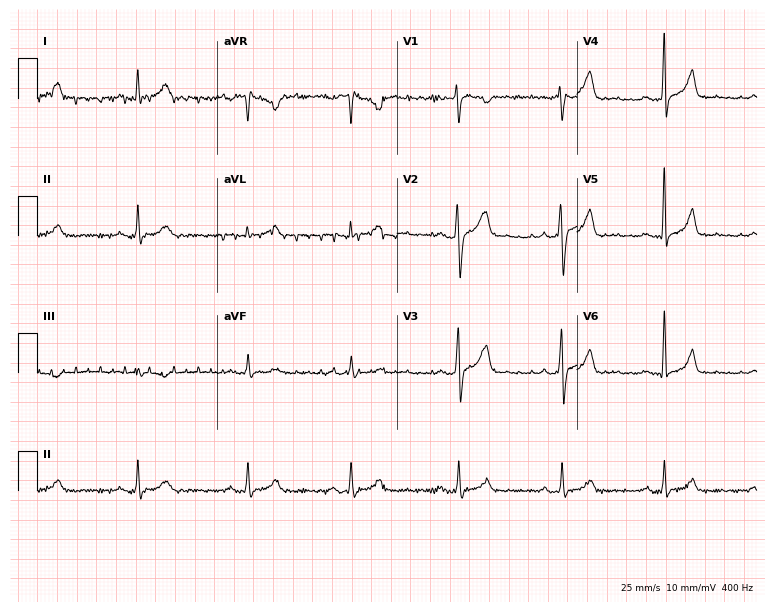
ECG — a male, 44 years old. Labelled as a normal ECG.